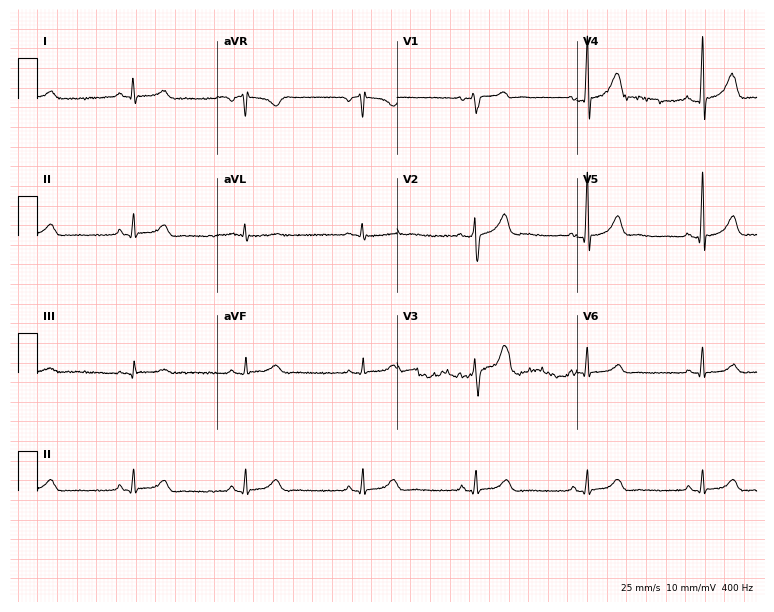
Resting 12-lead electrocardiogram (7.3-second recording at 400 Hz). Patient: a 53-year-old male. Read as a normal ECG.